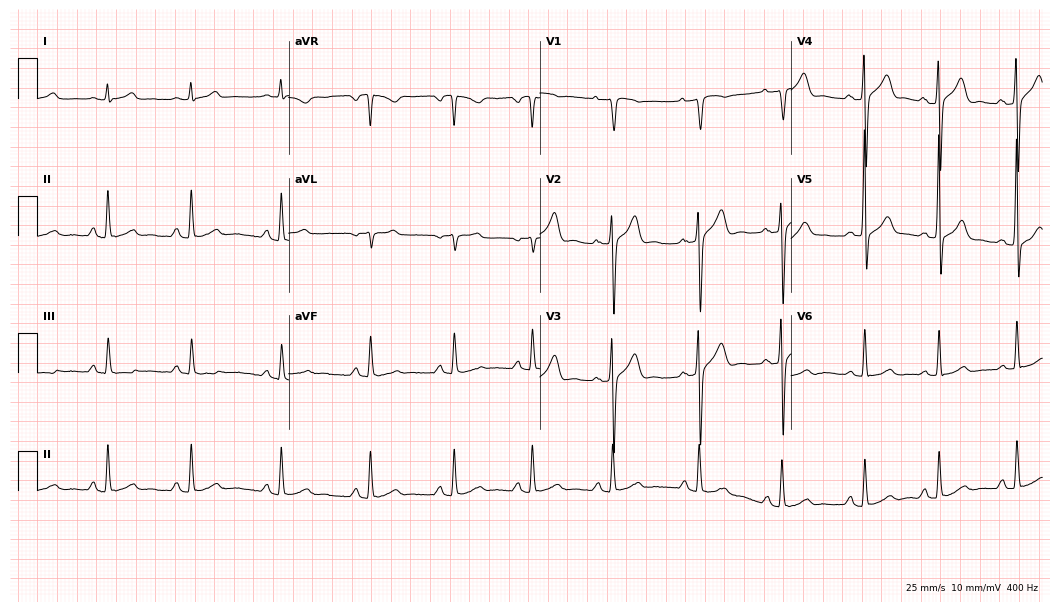
ECG — a male, 43 years old. Labelled as a normal ECG.